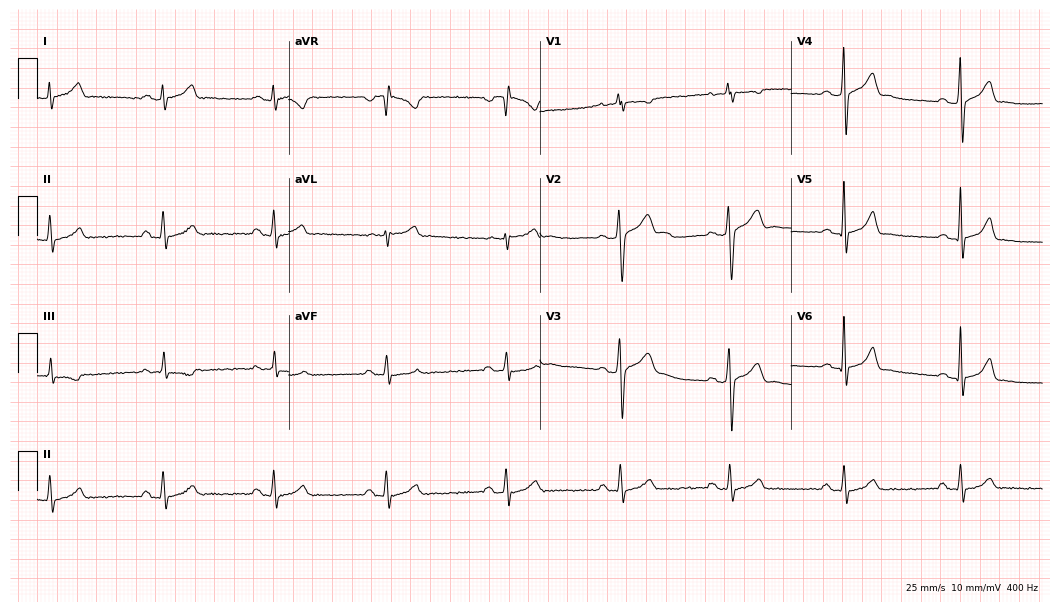
ECG — a 32-year-old man. Labelled as a normal ECG.